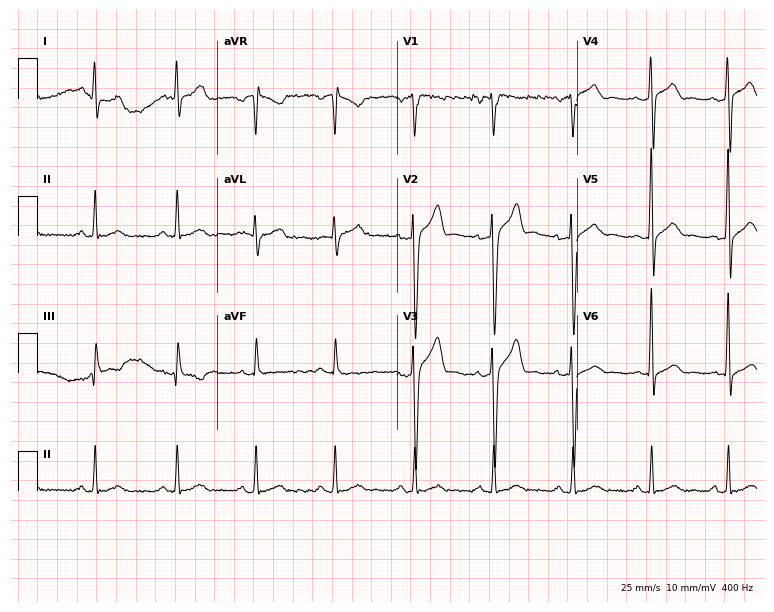
Electrocardiogram, a 27-year-old male. Of the six screened findings (first-degree AV block, right bundle branch block, left bundle branch block, sinus bradycardia, atrial fibrillation, sinus tachycardia), none is recorded. Findings outside these six are not listed.